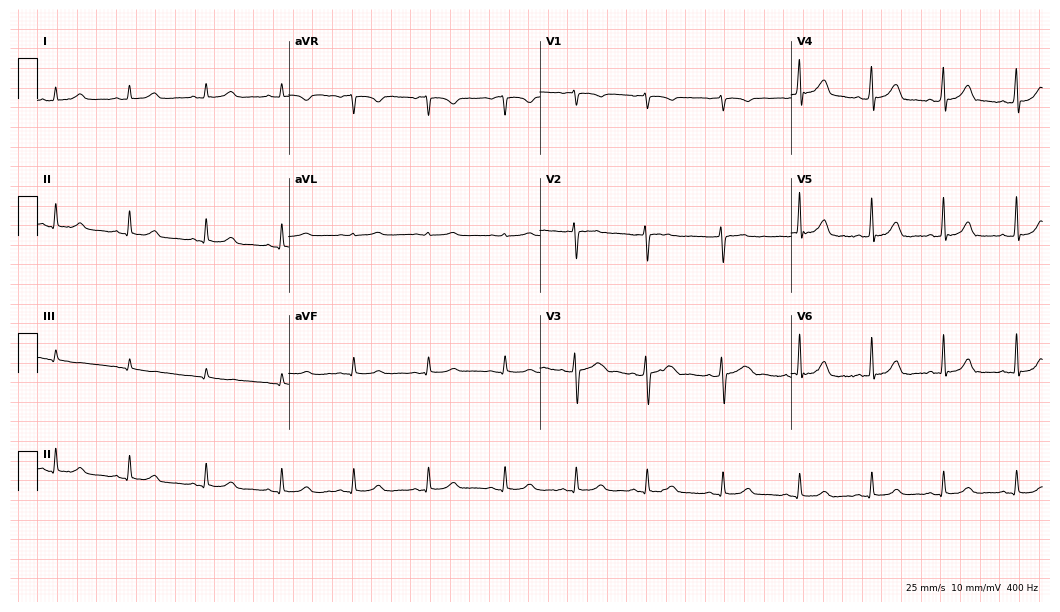
Resting 12-lead electrocardiogram (10.2-second recording at 400 Hz). Patient: an 18-year-old female. Read as a normal ECG.